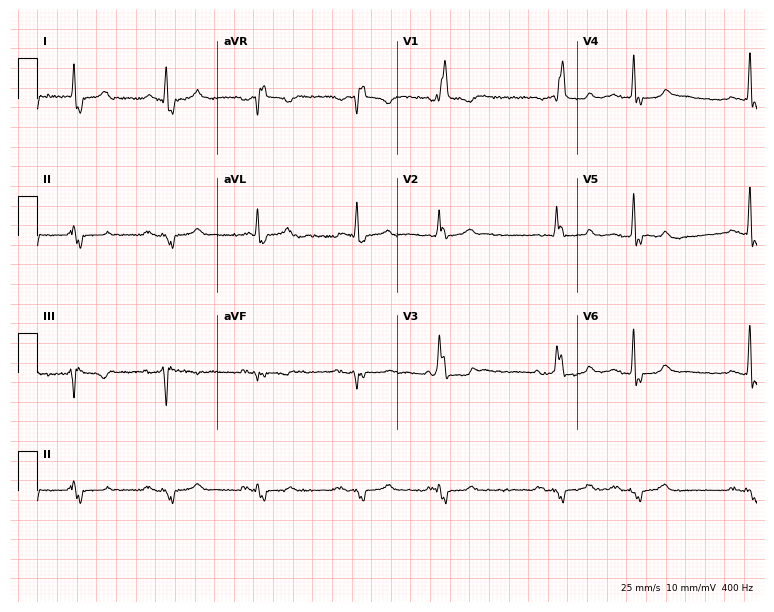
ECG — a man, 73 years old. Screened for six findings — first-degree AV block, right bundle branch block (RBBB), left bundle branch block (LBBB), sinus bradycardia, atrial fibrillation (AF), sinus tachycardia — none is recorded. Only these six findings were labelled.